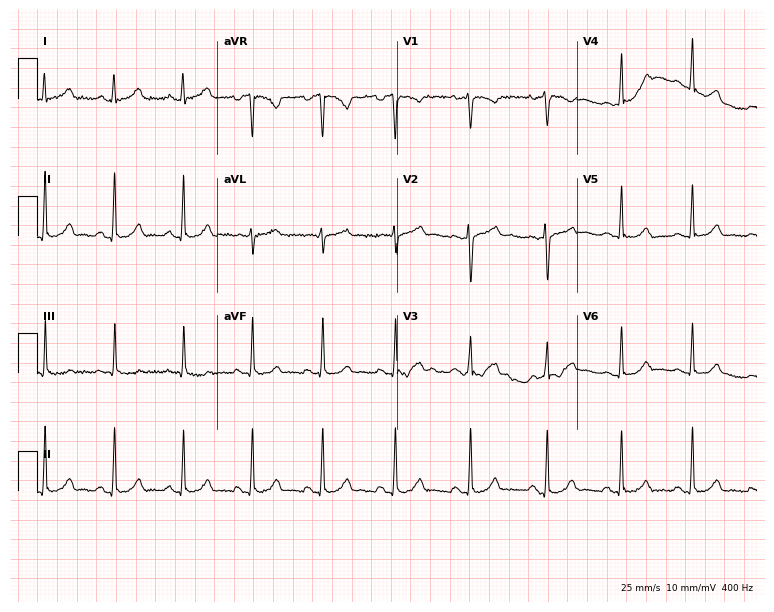
ECG (7.3-second recording at 400 Hz) — a 36-year-old female patient. Labelled as a normal ECG.